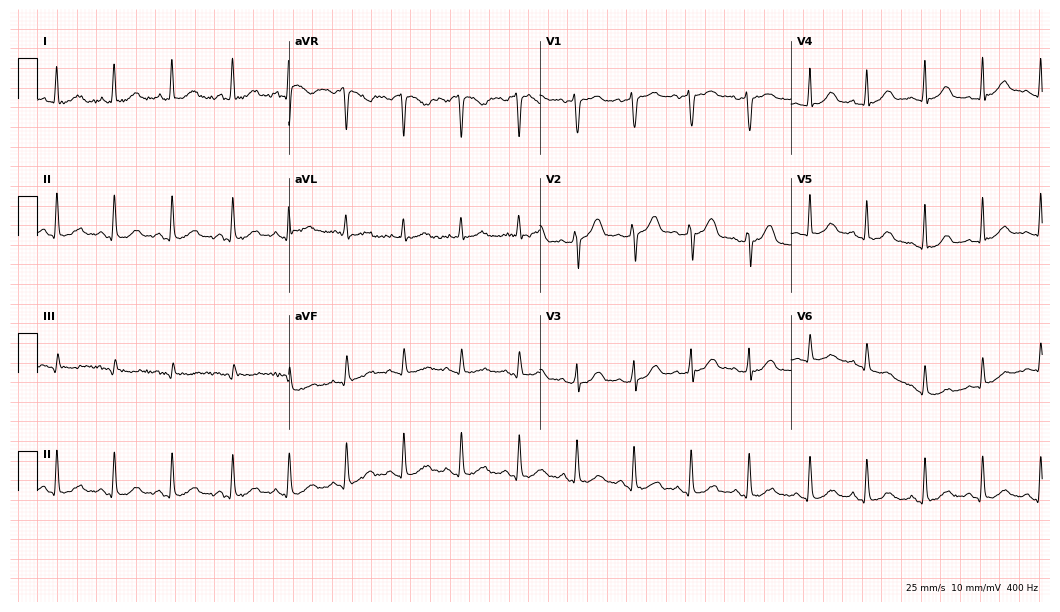
Electrocardiogram, a female patient, 62 years old. Overall reading on record: normal ECG.